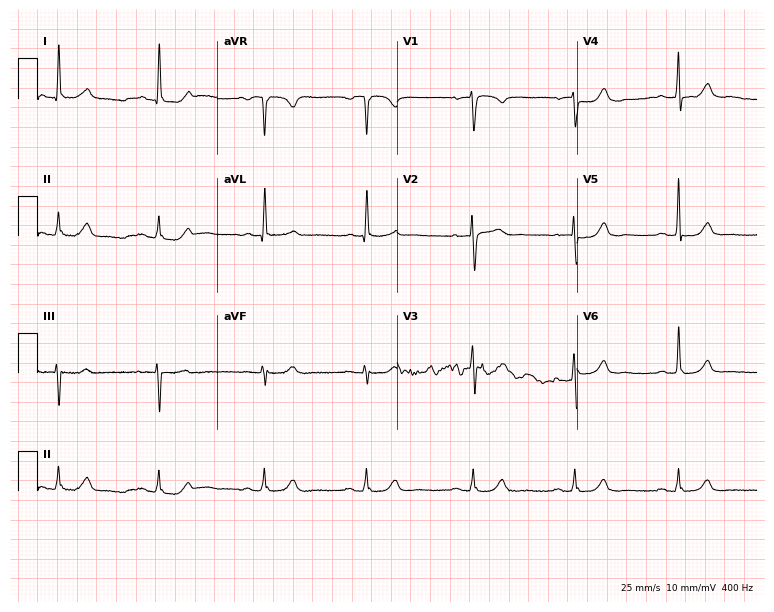
Standard 12-lead ECG recorded from a 69-year-old woman. Read as a normal ECG.